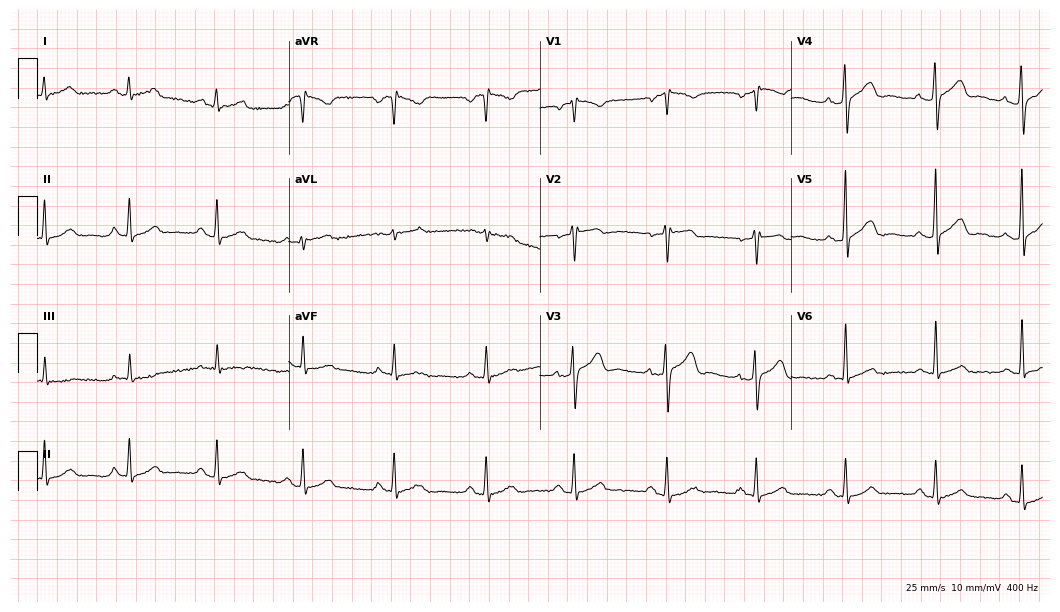
Electrocardiogram, a male, 38 years old. Of the six screened findings (first-degree AV block, right bundle branch block, left bundle branch block, sinus bradycardia, atrial fibrillation, sinus tachycardia), none is recorded. Only these six findings were labelled.